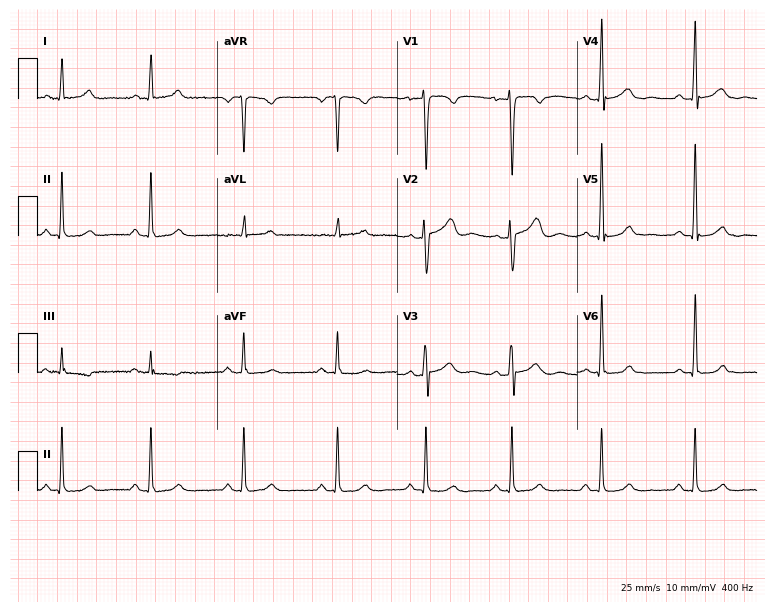
ECG (7.3-second recording at 400 Hz) — a 28-year-old female patient. Labelled as a normal ECG.